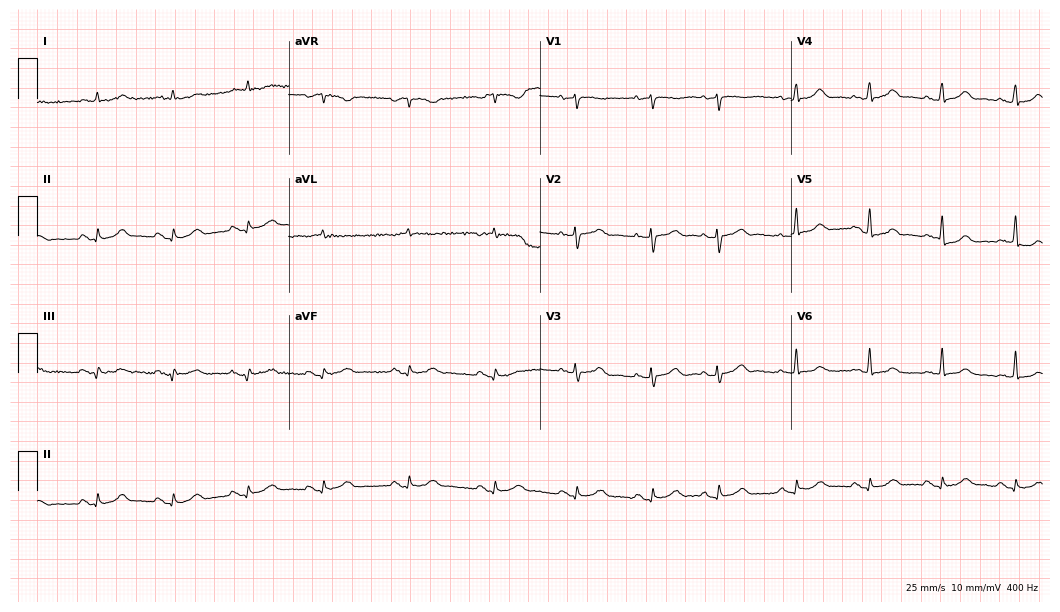
ECG (10.2-second recording at 400 Hz) — an 85-year-old man. Labelled as a normal ECG.